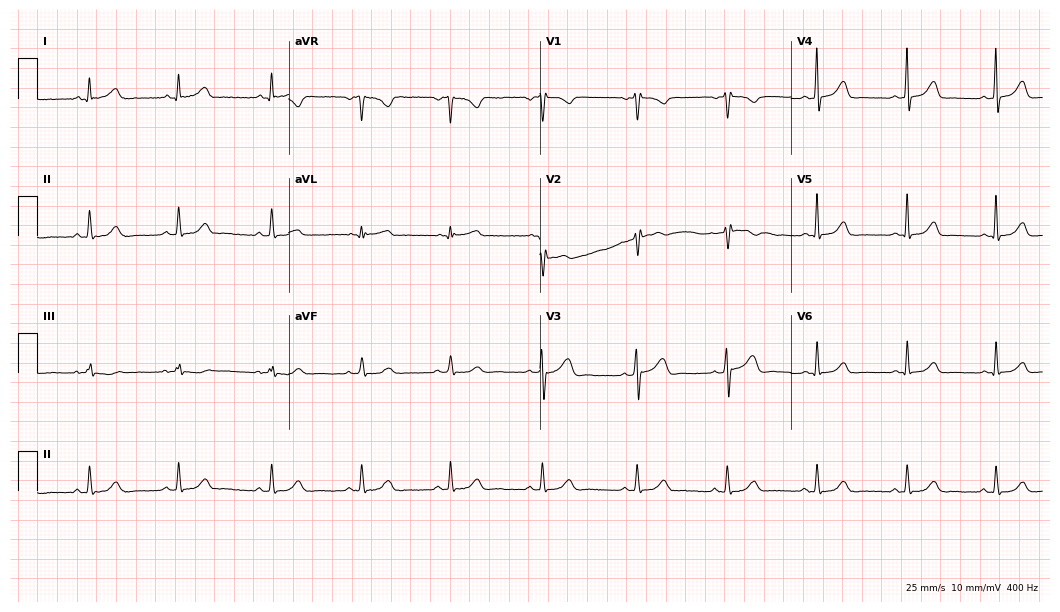
Standard 12-lead ECG recorded from a 43-year-old female (10.2-second recording at 400 Hz). None of these six findings is recorded: first-degree AV block, right bundle branch block, left bundle branch block, sinus bradycardia, atrial fibrillation, sinus tachycardia. Findings outside these six are not listed.